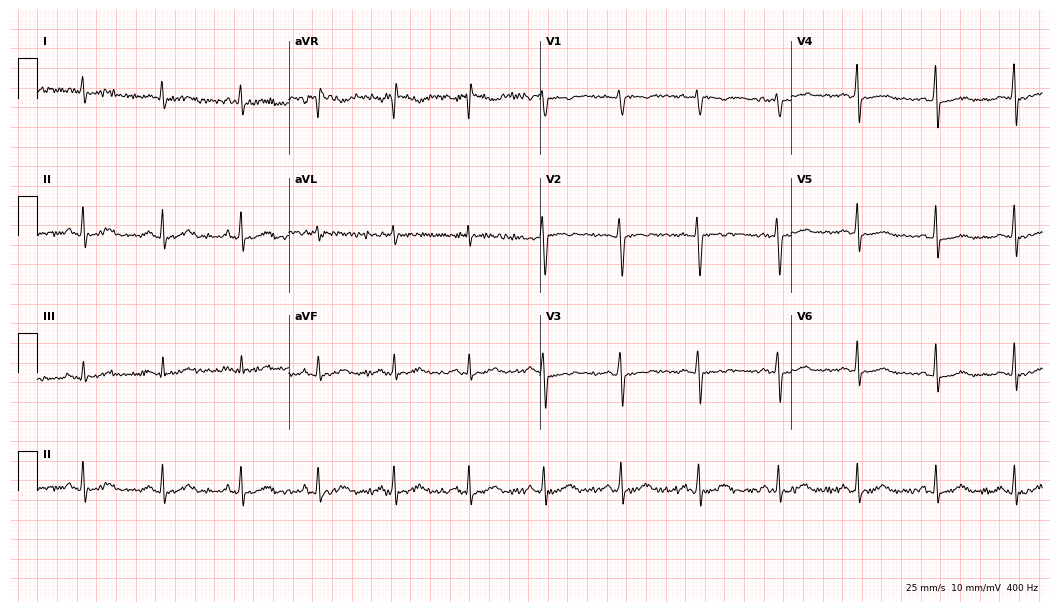
Resting 12-lead electrocardiogram (10.2-second recording at 400 Hz). Patient: a 45-year-old female. Read as a normal ECG.